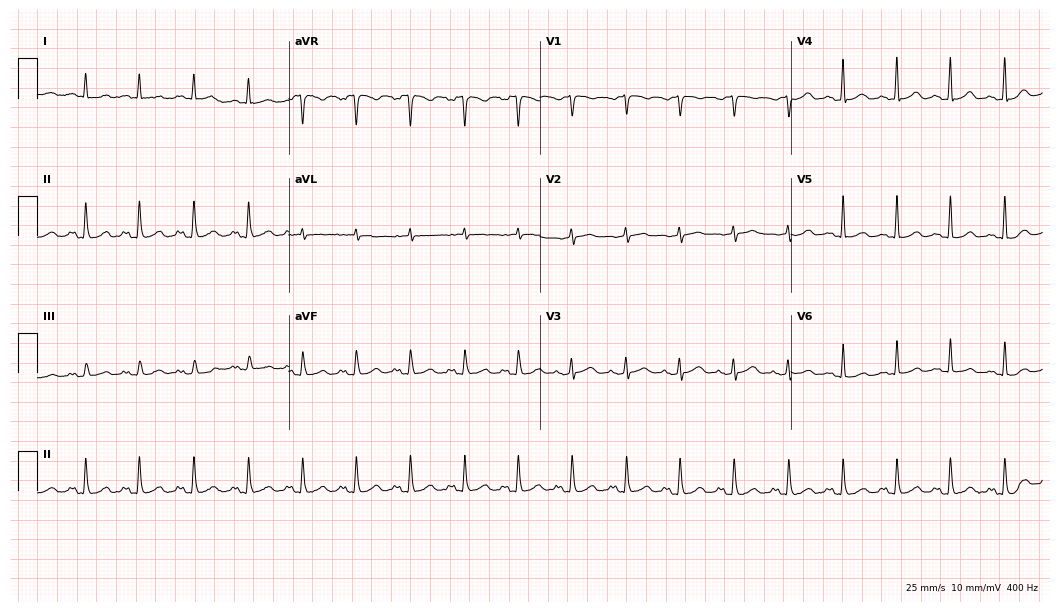
Standard 12-lead ECG recorded from an 82-year-old female patient. None of these six findings is recorded: first-degree AV block, right bundle branch block, left bundle branch block, sinus bradycardia, atrial fibrillation, sinus tachycardia. Other findings, if any, are not listed.